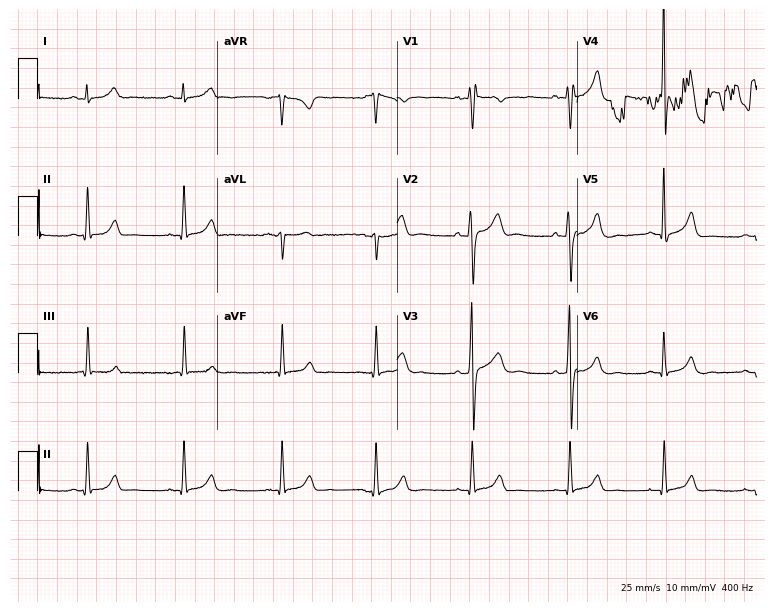
ECG (7.3-second recording at 400 Hz) — a 33-year-old male patient. Screened for six findings — first-degree AV block, right bundle branch block, left bundle branch block, sinus bradycardia, atrial fibrillation, sinus tachycardia — none is recorded.